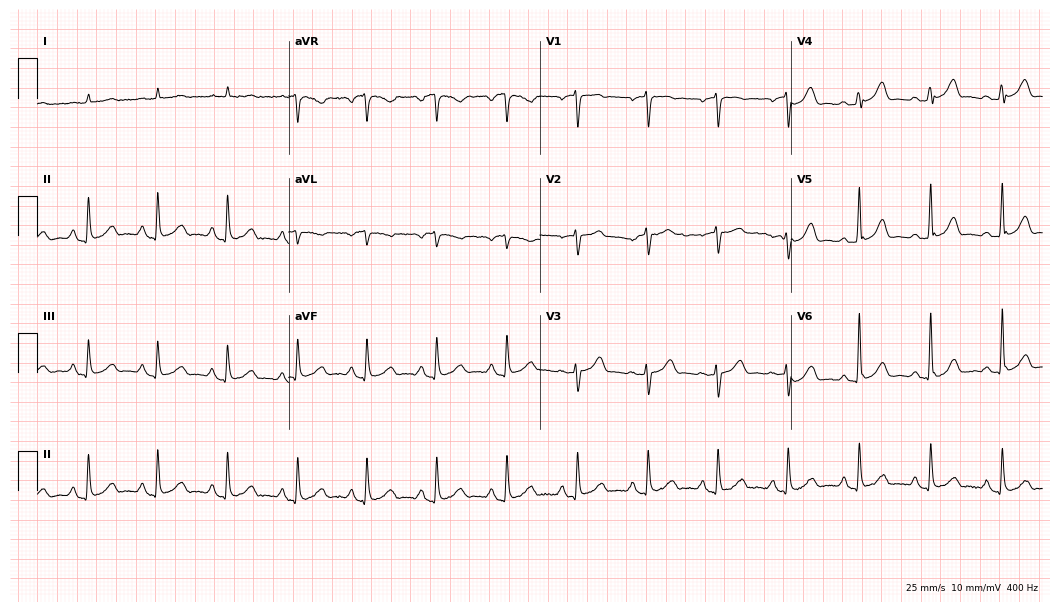
ECG (10.2-second recording at 400 Hz) — an 84-year-old man. Labelled as a normal ECG.